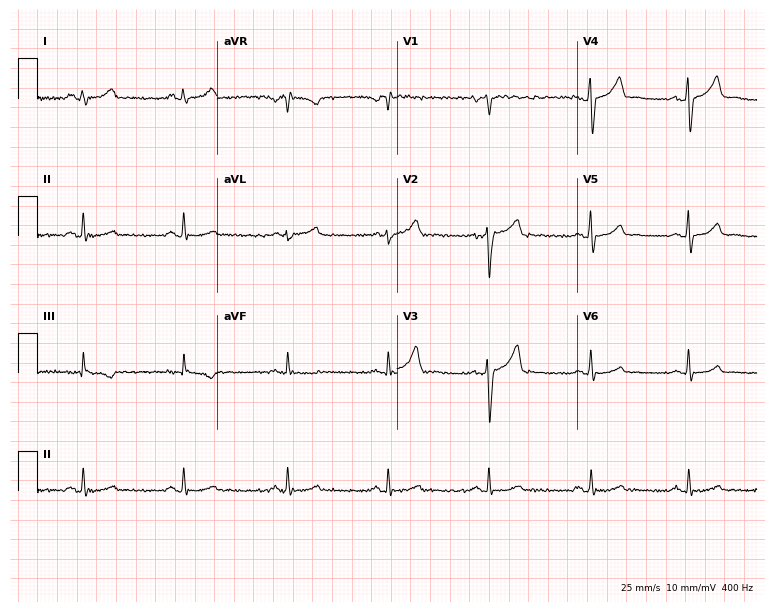
ECG — a male patient, 44 years old. Labelled as a normal ECG.